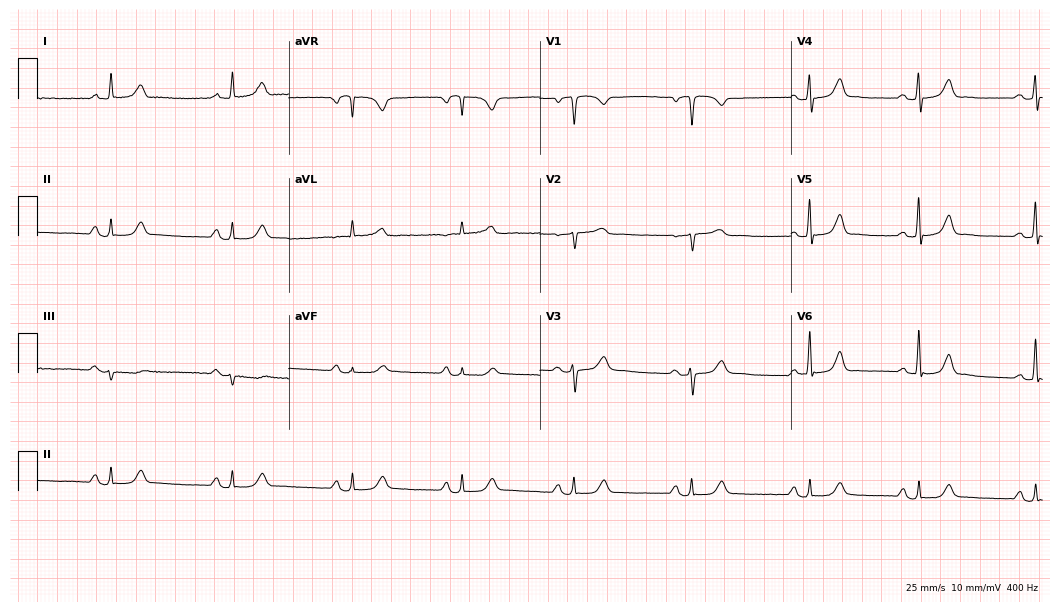
Standard 12-lead ECG recorded from a woman, 52 years old. Read as a normal ECG.